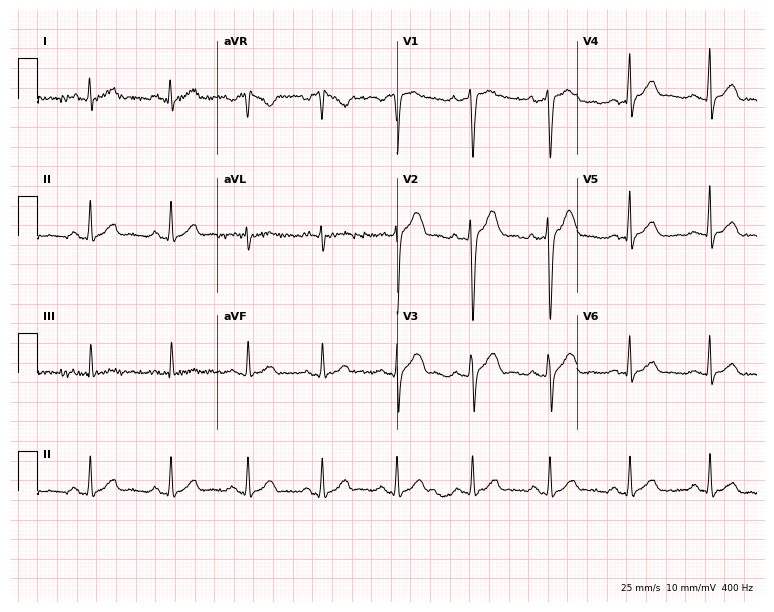
12-lead ECG from a male, 47 years old (7.3-second recording at 400 Hz). Recorded interpretation: within normal limits.